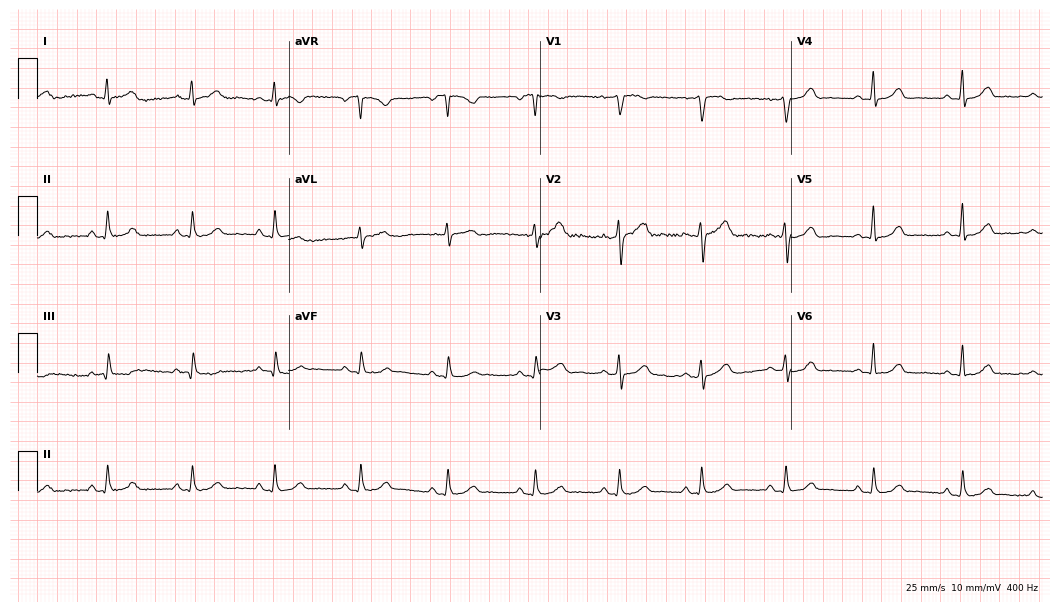
12-lead ECG from a woman, 47 years old (10.2-second recording at 400 Hz). Recorded interpretation: within normal limits.